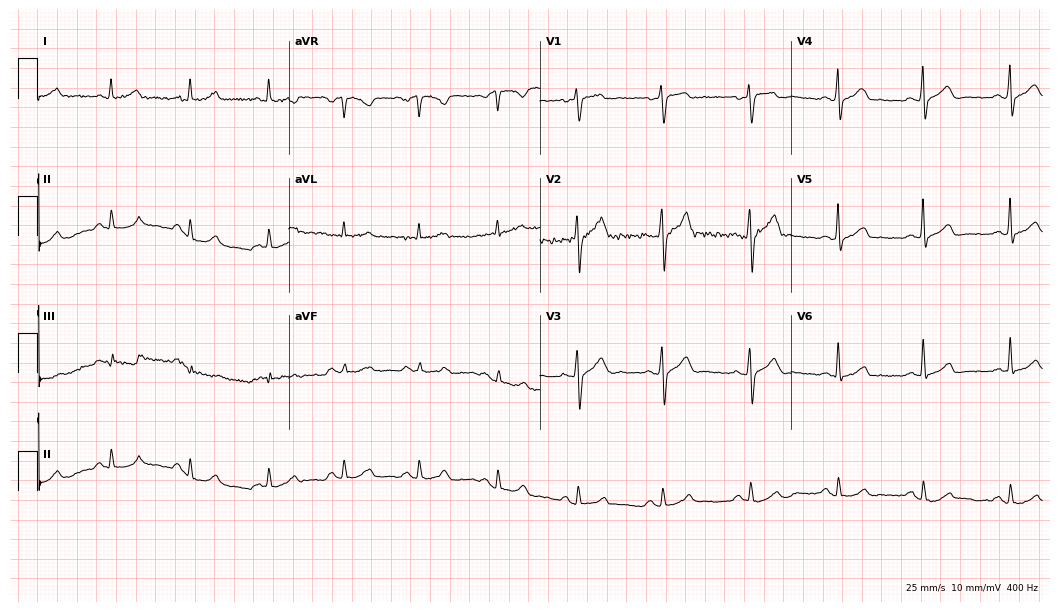
12-lead ECG from a man, 49 years old (10.2-second recording at 400 Hz). Recorded interpretation: within normal limits.